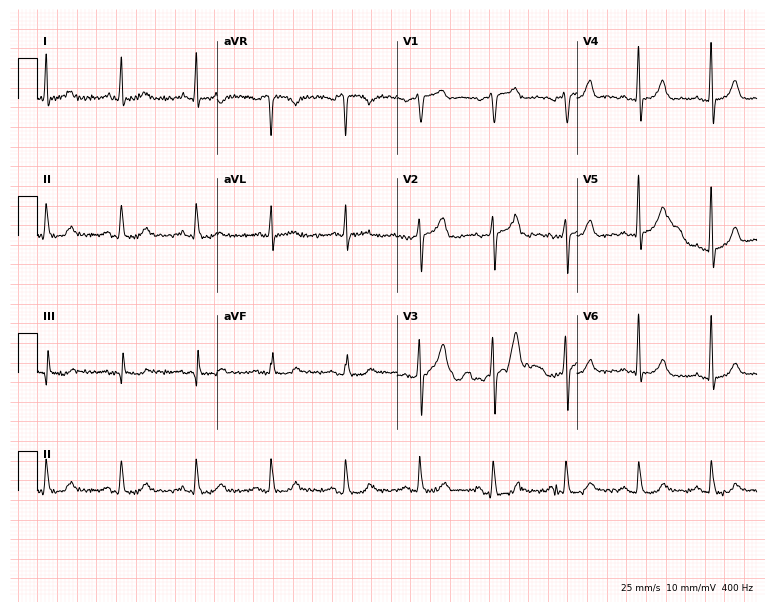
Electrocardiogram (7.3-second recording at 400 Hz), a man, 71 years old. Of the six screened findings (first-degree AV block, right bundle branch block, left bundle branch block, sinus bradycardia, atrial fibrillation, sinus tachycardia), none is recorded.